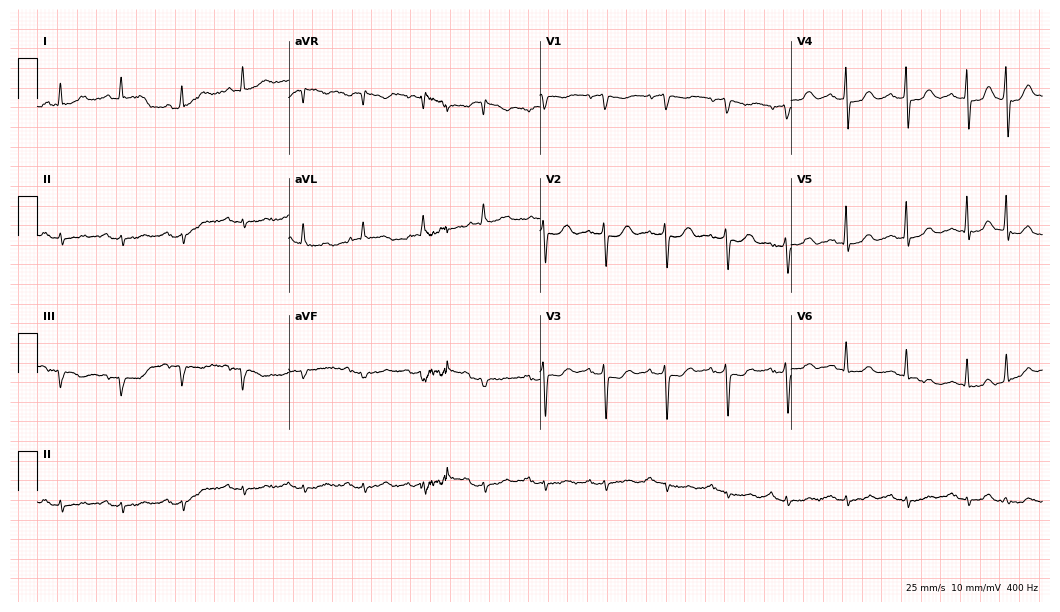
ECG (10.2-second recording at 400 Hz) — a 78-year-old woman. Screened for six findings — first-degree AV block, right bundle branch block (RBBB), left bundle branch block (LBBB), sinus bradycardia, atrial fibrillation (AF), sinus tachycardia — none is recorded.